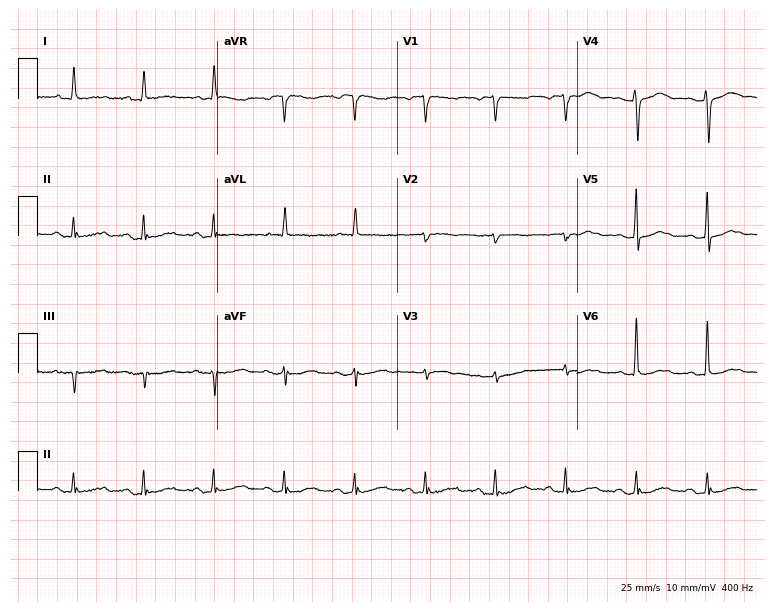
Electrocardiogram (7.3-second recording at 400 Hz), a 75-year-old female. Of the six screened findings (first-degree AV block, right bundle branch block (RBBB), left bundle branch block (LBBB), sinus bradycardia, atrial fibrillation (AF), sinus tachycardia), none is recorded. Other findings, if any, are not listed.